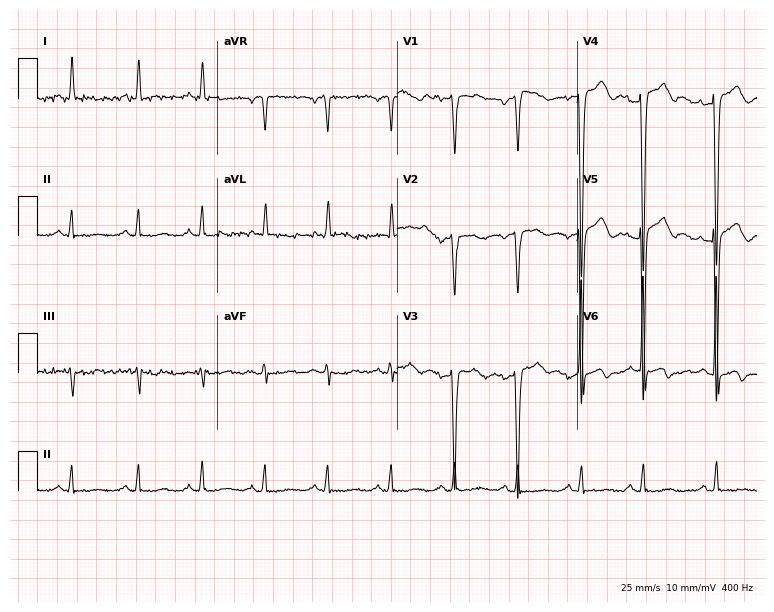
Electrocardiogram, a 78-year-old man. Of the six screened findings (first-degree AV block, right bundle branch block (RBBB), left bundle branch block (LBBB), sinus bradycardia, atrial fibrillation (AF), sinus tachycardia), none is recorded.